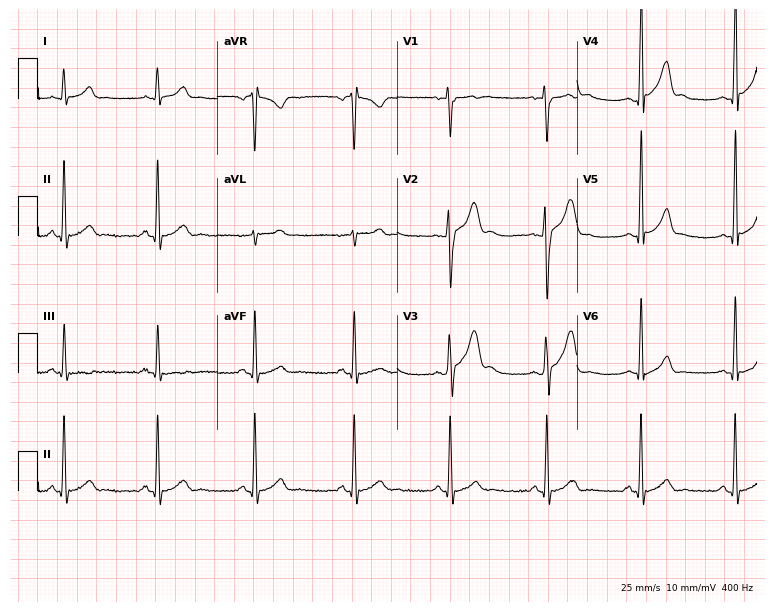
12-lead ECG from a man, 23 years old (7.3-second recording at 400 Hz). Recorded interpretation: within normal limits.